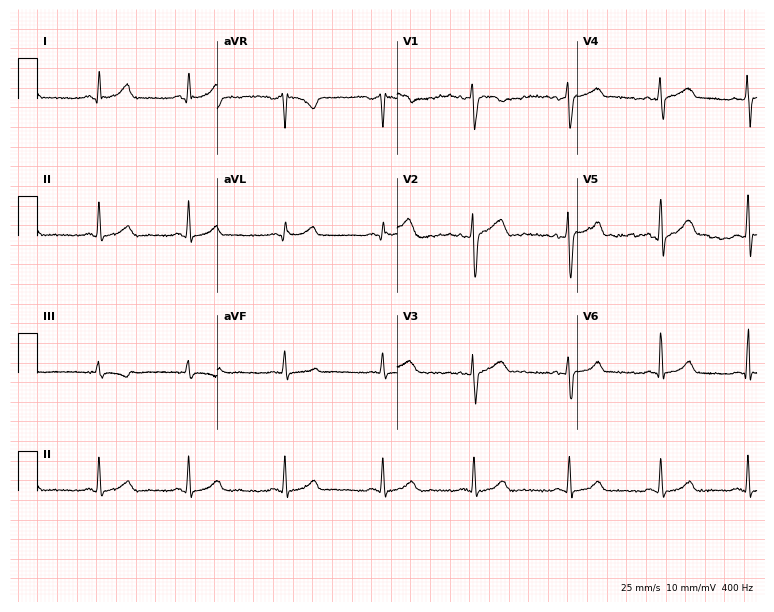
Electrocardiogram (7.3-second recording at 400 Hz), a 33-year-old female. Overall reading on record: normal ECG.